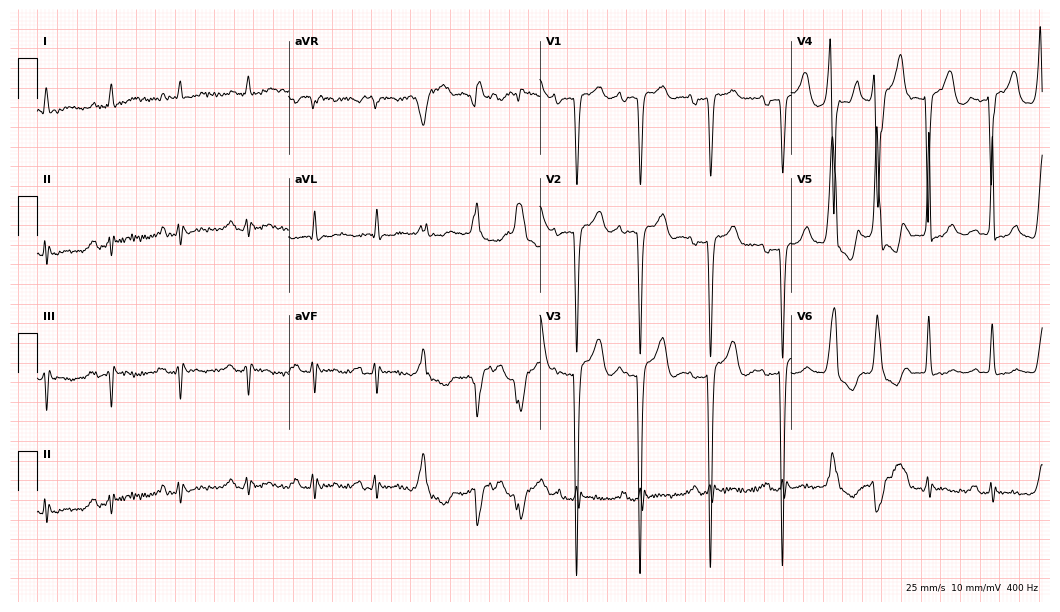
Resting 12-lead electrocardiogram (10.2-second recording at 400 Hz). Patient: an 83-year-old male. None of these six findings is recorded: first-degree AV block, right bundle branch block, left bundle branch block, sinus bradycardia, atrial fibrillation, sinus tachycardia.